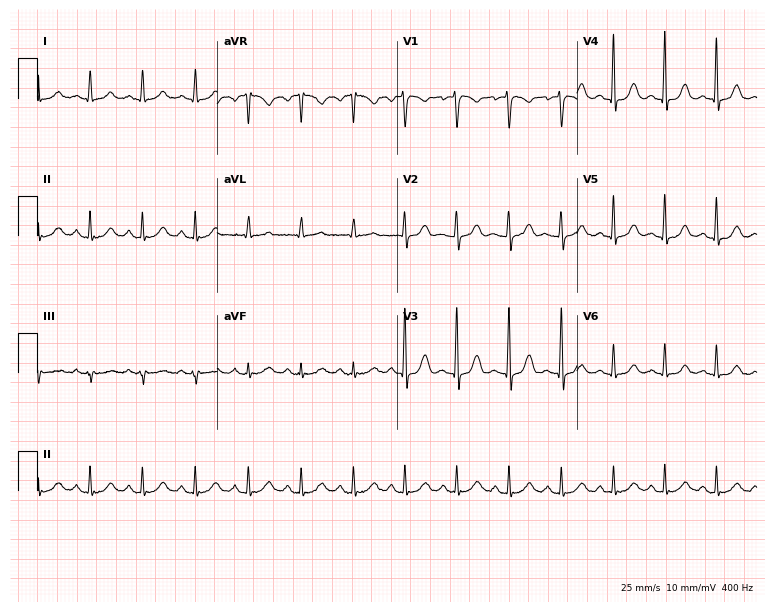
Resting 12-lead electrocardiogram. Patient: a 20-year-old female. The tracing shows sinus tachycardia (a sinus rate of 100 beats per minute or more).